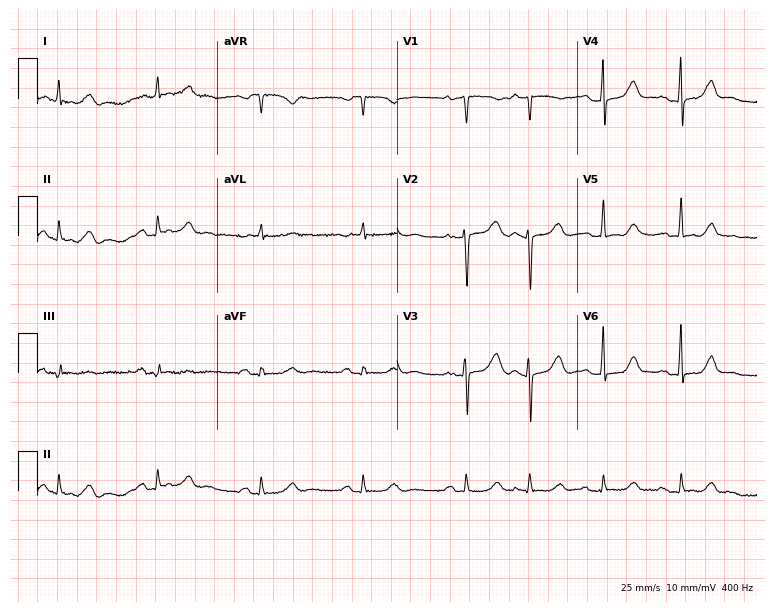
Standard 12-lead ECG recorded from a woman, 66 years old (7.3-second recording at 400 Hz). None of these six findings is recorded: first-degree AV block, right bundle branch block (RBBB), left bundle branch block (LBBB), sinus bradycardia, atrial fibrillation (AF), sinus tachycardia. Only these six findings were labelled.